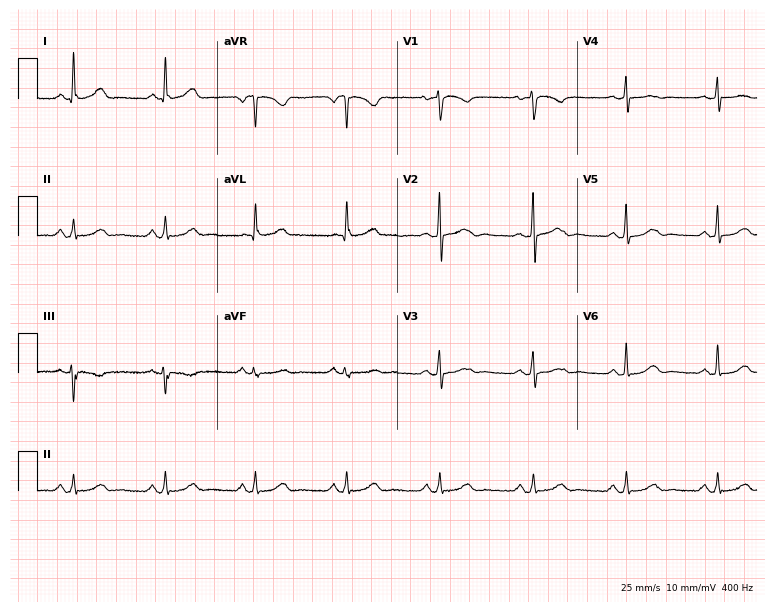
ECG (7.3-second recording at 400 Hz) — a female patient, 53 years old. Labelled as a normal ECG.